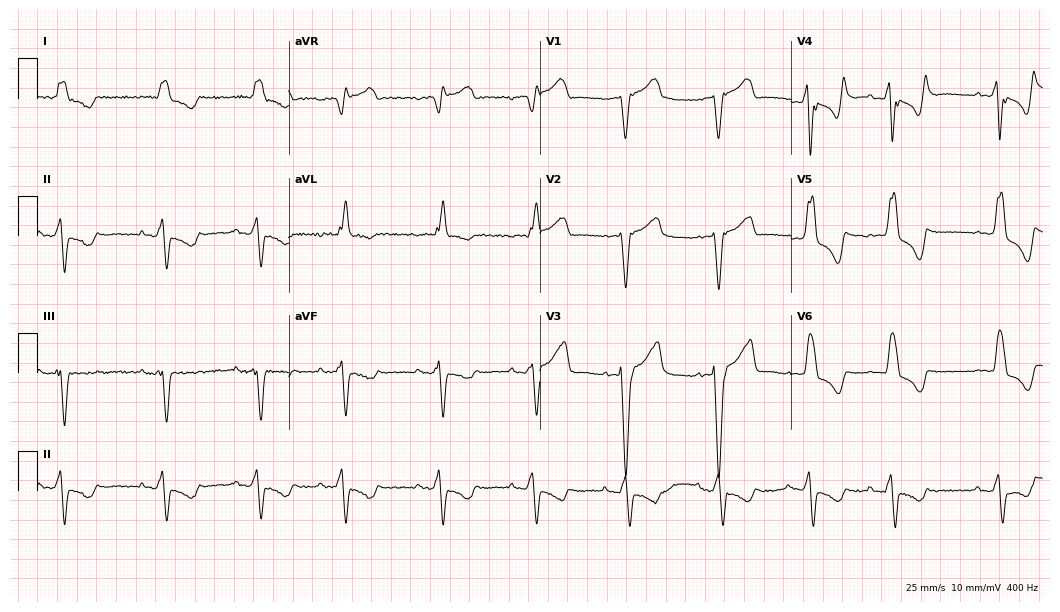
Electrocardiogram (10.2-second recording at 400 Hz), an 85-year-old male patient. Interpretation includes left bundle branch block (LBBB).